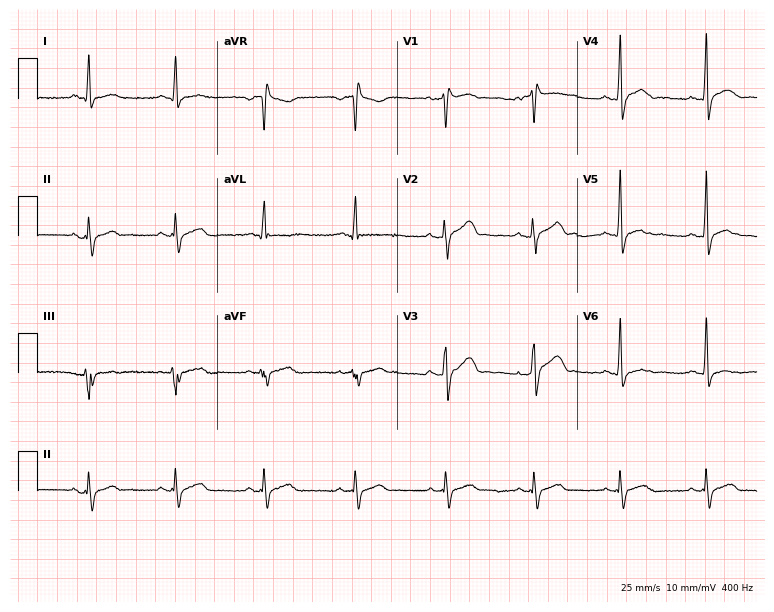
ECG (7.3-second recording at 400 Hz) — a male, 32 years old. Screened for six findings — first-degree AV block, right bundle branch block, left bundle branch block, sinus bradycardia, atrial fibrillation, sinus tachycardia — none is recorded. Only these six findings were labelled.